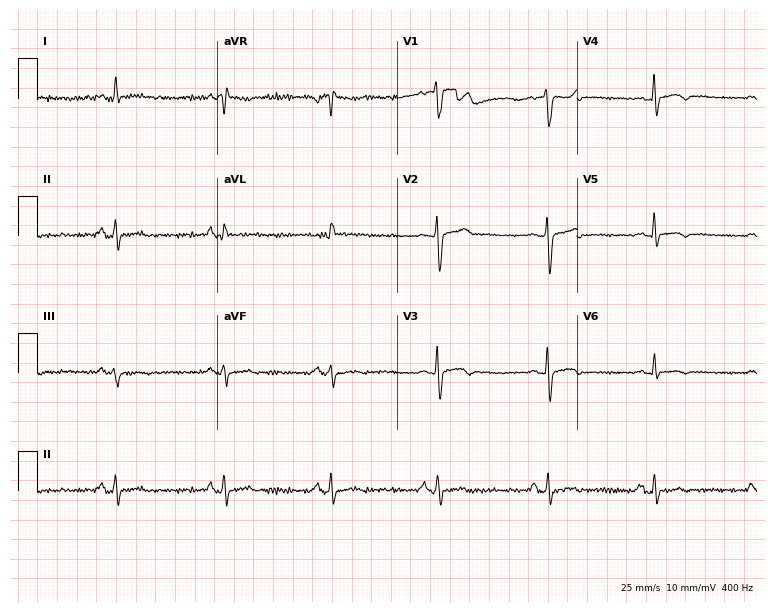
Standard 12-lead ECG recorded from a female, 62 years old. None of these six findings is recorded: first-degree AV block, right bundle branch block, left bundle branch block, sinus bradycardia, atrial fibrillation, sinus tachycardia.